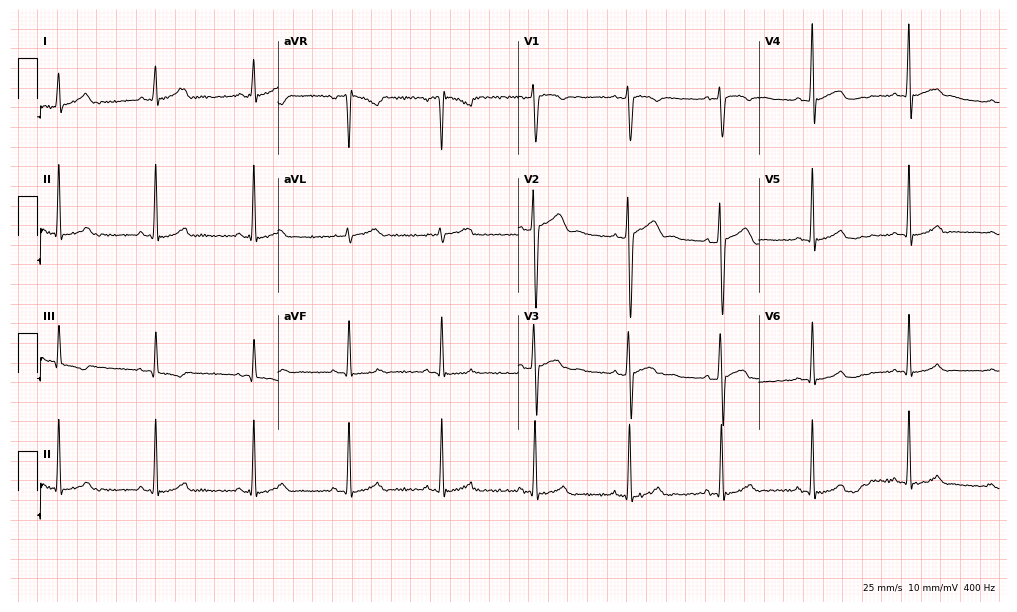
12-lead ECG from a male patient, 25 years old (9.8-second recording at 400 Hz). No first-degree AV block, right bundle branch block (RBBB), left bundle branch block (LBBB), sinus bradycardia, atrial fibrillation (AF) or sinus tachycardia recorded for this tracing. Other findings, if any, are not listed.